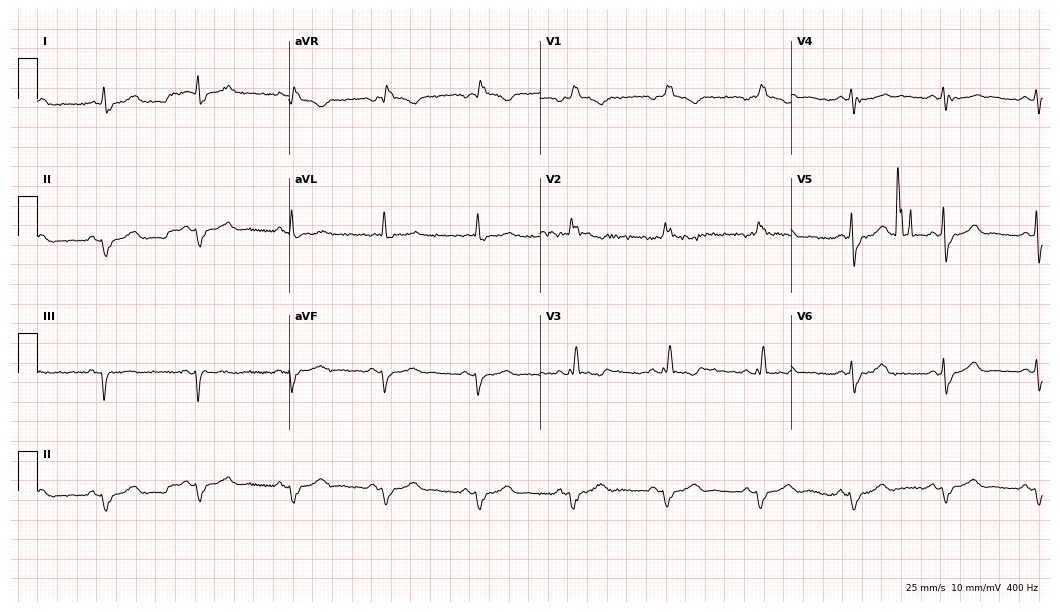
Resting 12-lead electrocardiogram (10.2-second recording at 400 Hz). Patient: a man, 78 years old. None of these six findings is recorded: first-degree AV block, right bundle branch block, left bundle branch block, sinus bradycardia, atrial fibrillation, sinus tachycardia. Only these six findings were labelled.